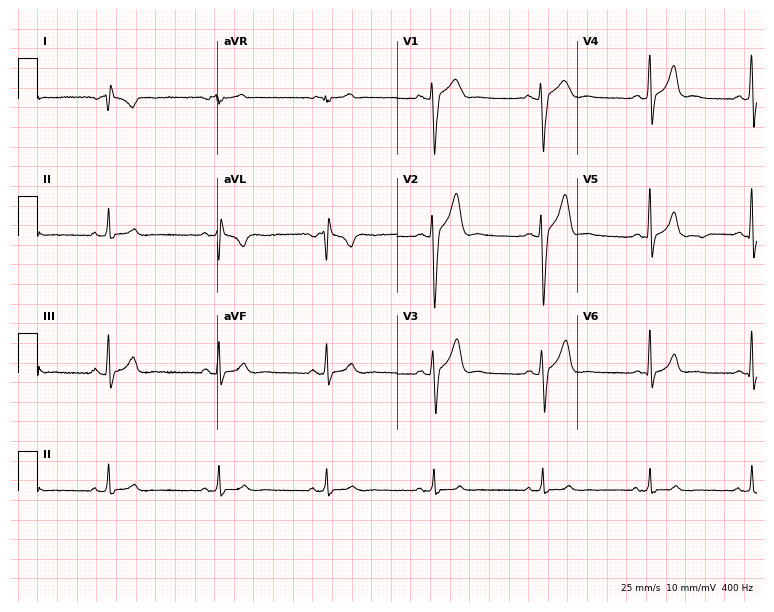
Standard 12-lead ECG recorded from a 25-year-old male (7.3-second recording at 400 Hz). None of these six findings is recorded: first-degree AV block, right bundle branch block, left bundle branch block, sinus bradycardia, atrial fibrillation, sinus tachycardia. Other findings, if any, are not listed.